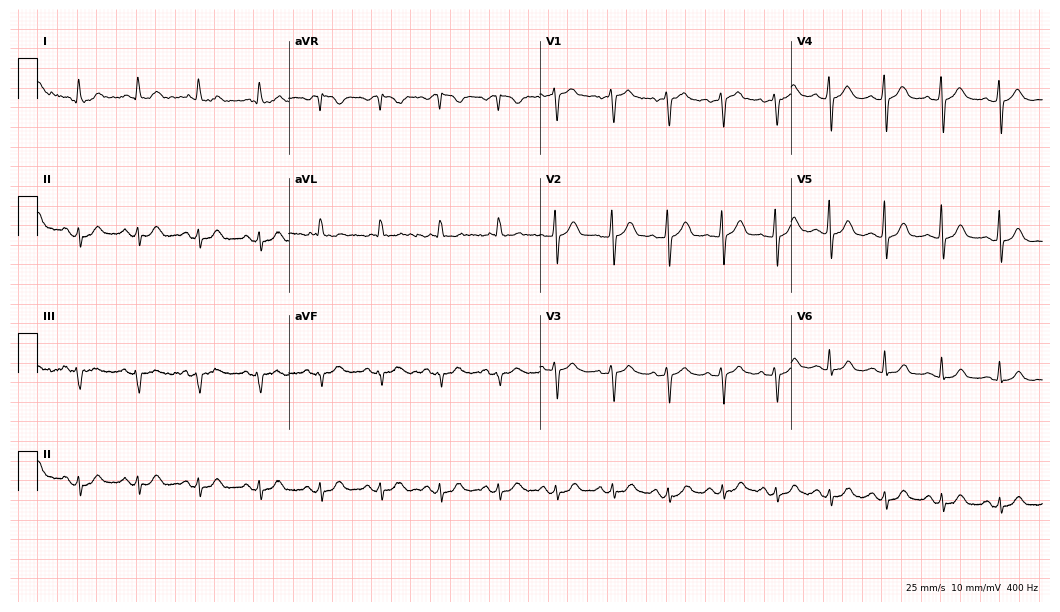
ECG (10.2-second recording at 400 Hz) — a female patient, 66 years old. Findings include sinus tachycardia (a sinus rate of 100 beats per minute or more).